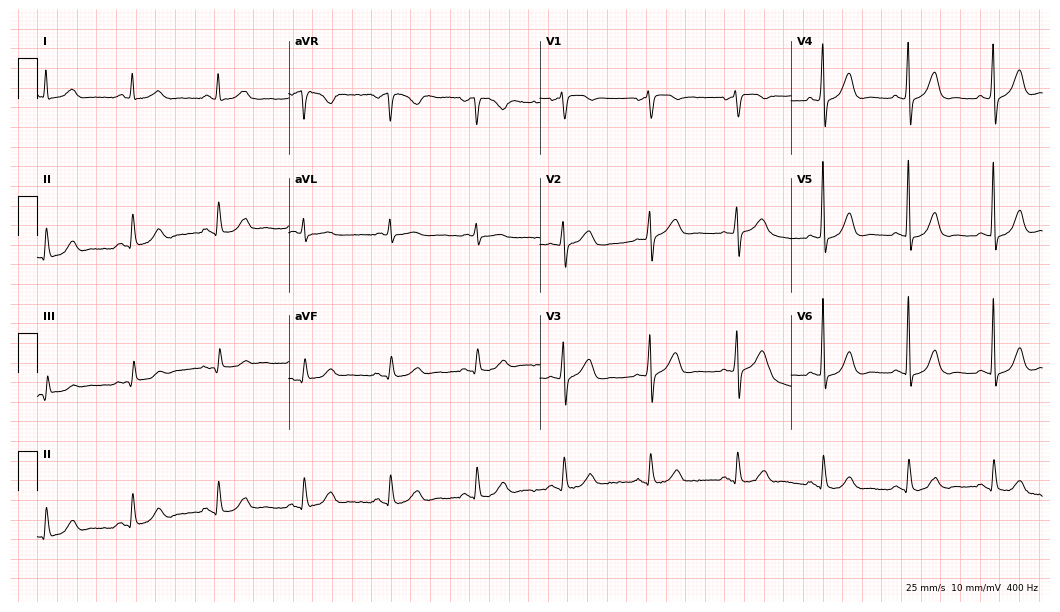
ECG (10.2-second recording at 400 Hz) — a female patient, 64 years old. Screened for six findings — first-degree AV block, right bundle branch block, left bundle branch block, sinus bradycardia, atrial fibrillation, sinus tachycardia — none is recorded.